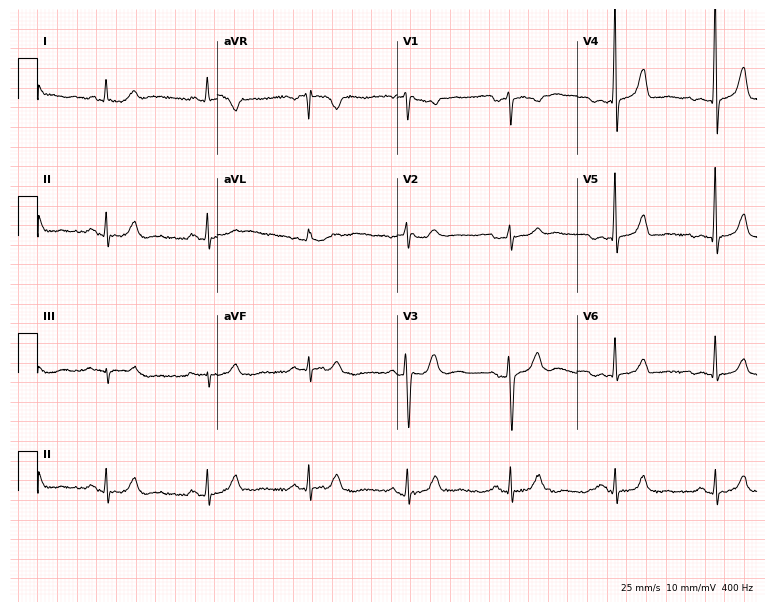
12-lead ECG from a 74-year-old female patient. Recorded interpretation: within normal limits.